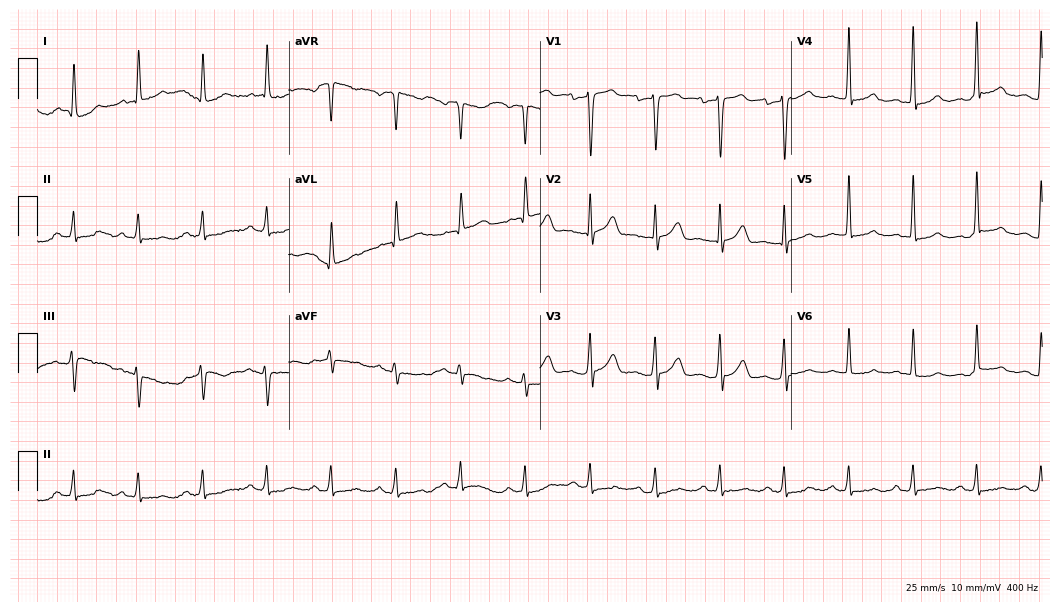
12-lead ECG from a 44-year-old male patient (10.2-second recording at 400 Hz). No first-degree AV block, right bundle branch block (RBBB), left bundle branch block (LBBB), sinus bradycardia, atrial fibrillation (AF) or sinus tachycardia recorded for this tracing. Only these six findings were labelled.